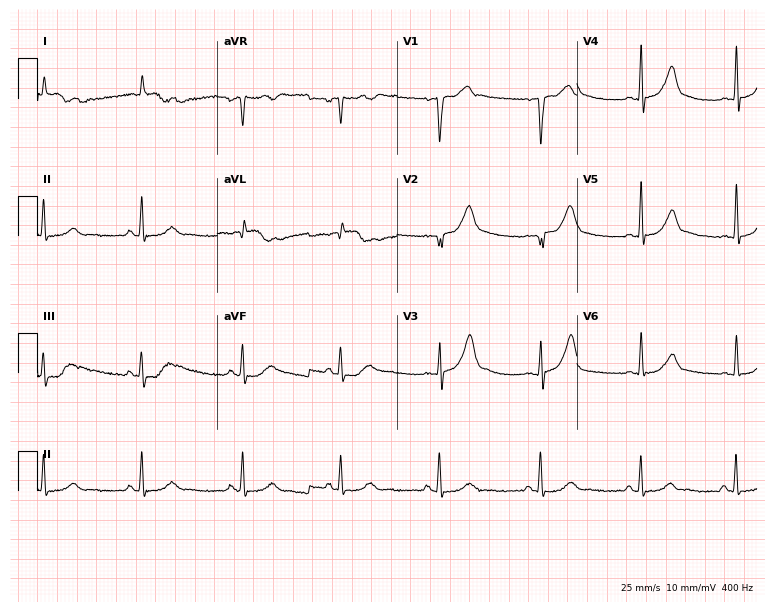
12-lead ECG (7.3-second recording at 400 Hz) from a 17-year-old male patient. Screened for six findings — first-degree AV block, right bundle branch block (RBBB), left bundle branch block (LBBB), sinus bradycardia, atrial fibrillation (AF), sinus tachycardia — none is recorded. Only these six findings were labelled.